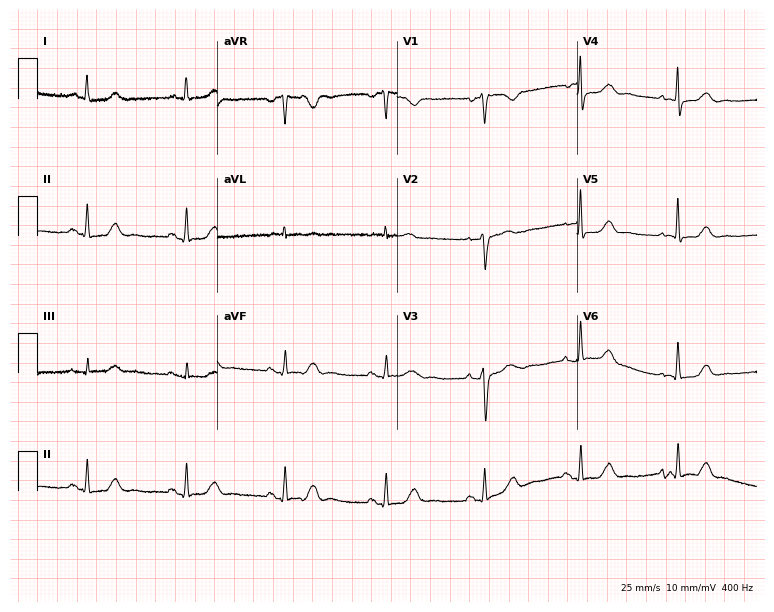
Standard 12-lead ECG recorded from a 58-year-old female patient. None of these six findings is recorded: first-degree AV block, right bundle branch block, left bundle branch block, sinus bradycardia, atrial fibrillation, sinus tachycardia. Other findings, if any, are not listed.